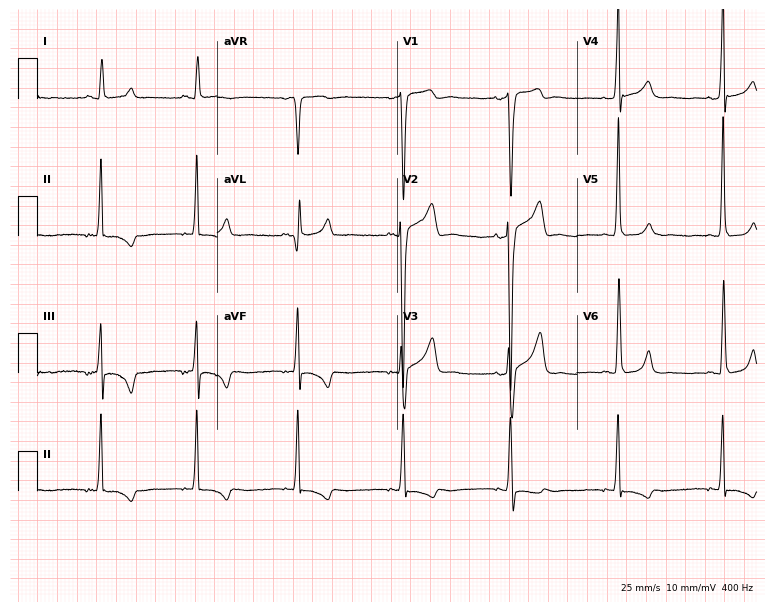
Electrocardiogram (7.3-second recording at 400 Hz), a 37-year-old male. Of the six screened findings (first-degree AV block, right bundle branch block (RBBB), left bundle branch block (LBBB), sinus bradycardia, atrial fibrillation (AF), sinus tachycardia), none is recorded.